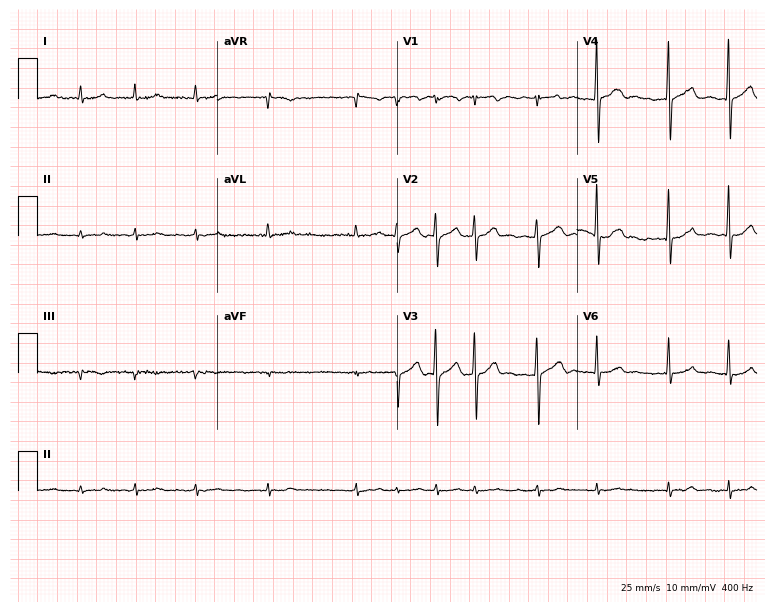
Standard 12-lead ECG recorded from an 82-year-old male. The tracing shows atrial fibrillation.